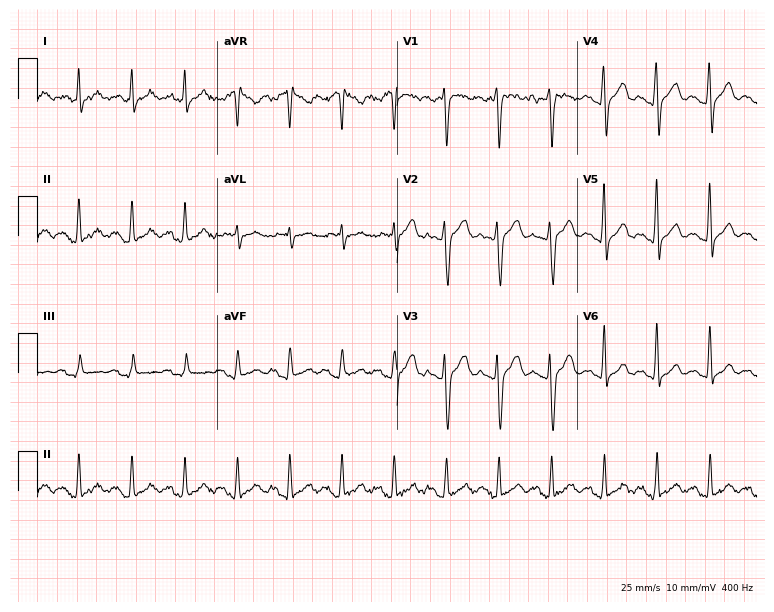
12-lead ECG (7.3-second recording at 400 Hz) from a 43-year-old male patient. Findings include sinus tachycardia (a sinus rate of 100 beats per minute or more).